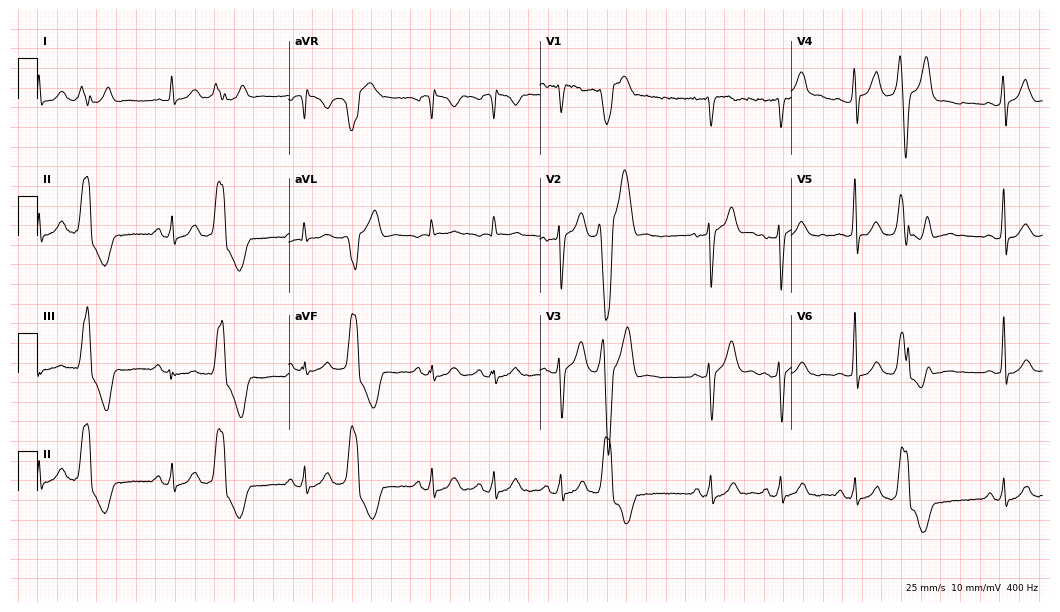
12-lead ECG from a 23-year-old male patient. Screened for six findings — first-degree AV block, right bundle branch block, left bundle branch block, sinus bradycardia, atrial fibrillation, sinus tachycardia — none is recorded.